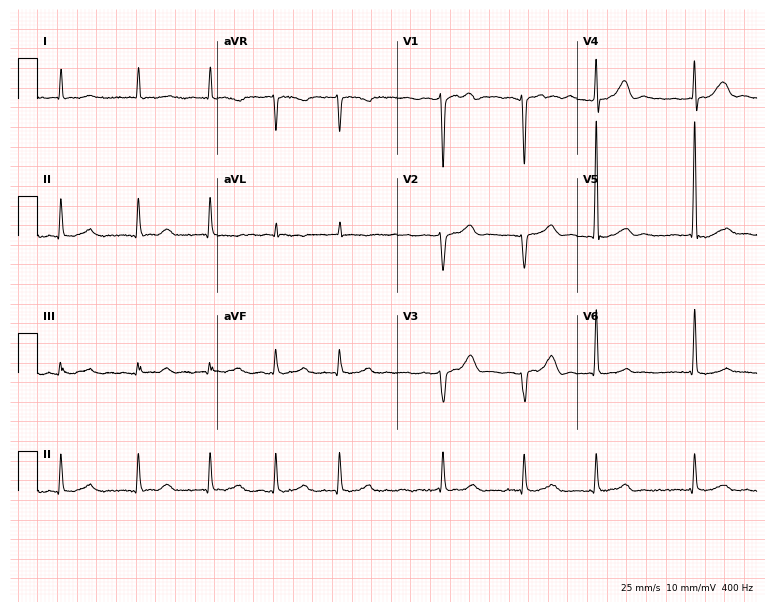
Standard 12-lead ECG recorded from a 73-year-old male (7.3-second recording at 400 Hz). The tracing shows atrial fibrillation (AF).